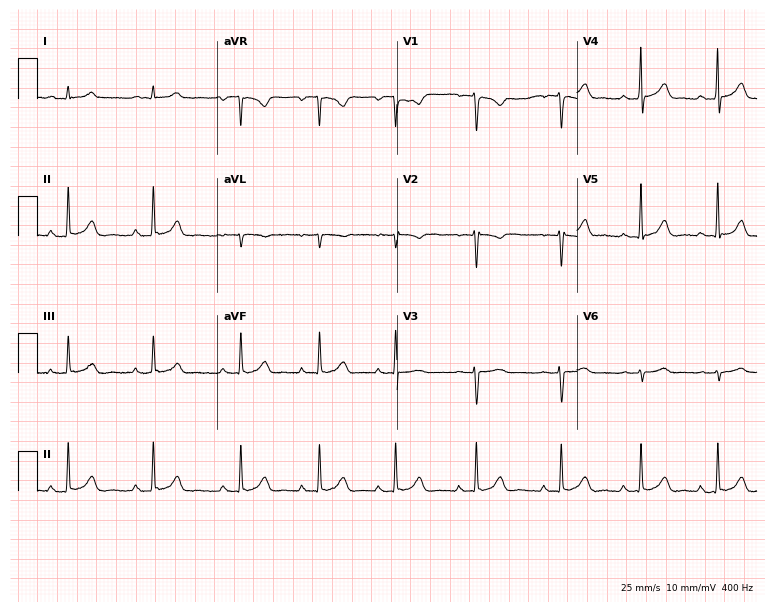
12-lead ECG from a female patient, 30 years old (7.3-second recording at 400 Hz). Recorded interpretation: within normal limits.